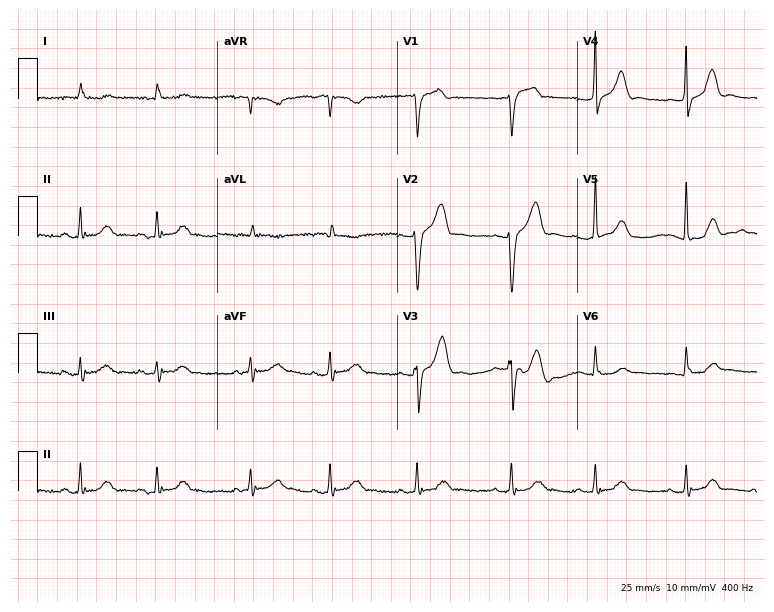
12-lead ECG from a male, 70 years old. No first-degree AV block, right bundle branch block (RBBB), left bundle branch block (LBBB), sinus bradycardia, atrial fibrillation (AF) or sinus tachycardia recorded for this tracing.